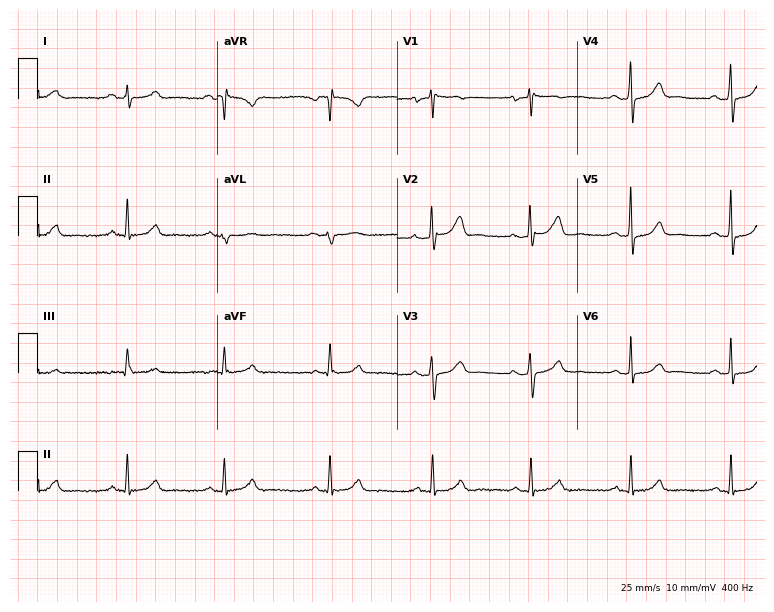
Resting 12-lead electrocardiogram. Patient: a 75-year-old male. Read as a normal ECG.